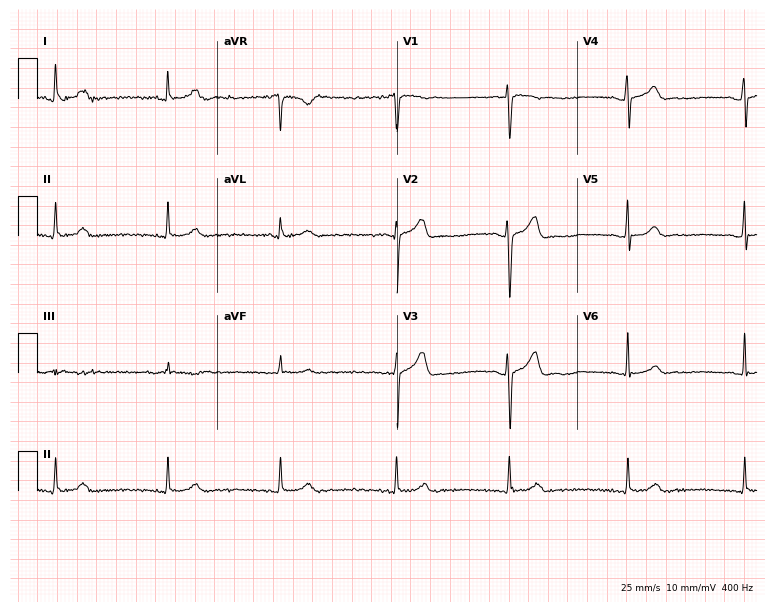
Standard 12-lead ECG recorded from a man, 28 years old. Read as a normal ECG.